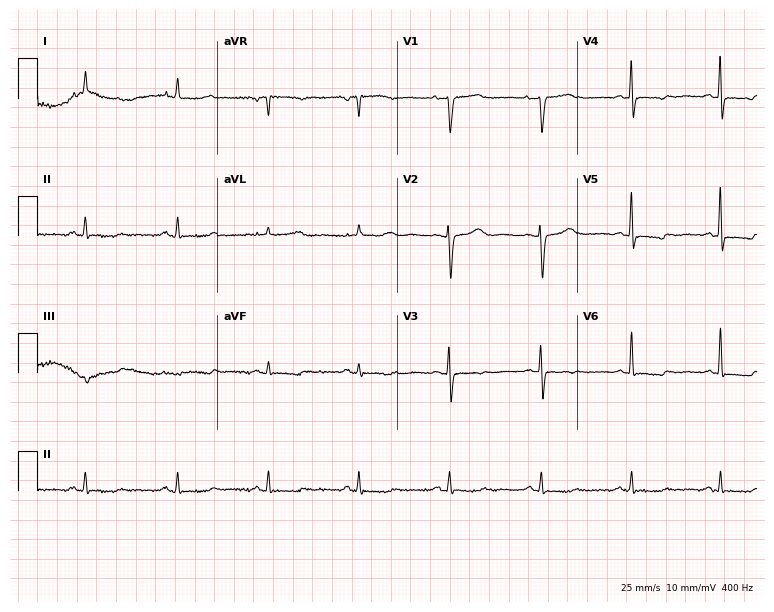
12-lead ECG from a 77-year-old female patient. No first-degree AV block, right bundle branch block, left bundle branch block, sinus bradycardia, atrial fibrillation or sinus tachycardia recorded for this tracing. Findings outside these six are not listed.